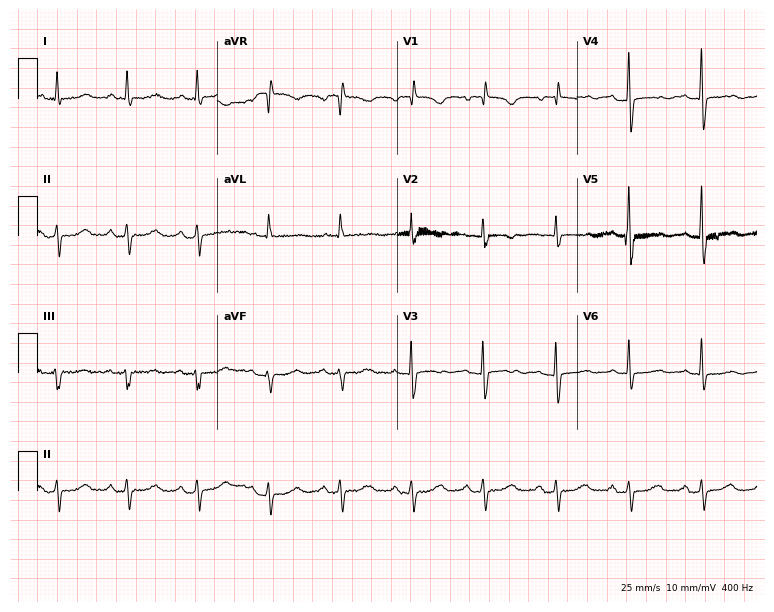
Resting 12-lead electrocardiogram. Patient: a female, 77 years old. None of these six findings is recorded: first-degree AV block, right bundle branch block, left bundle branch block, sinus bradycardia, atrial fibrillation, sinus tachycardia.